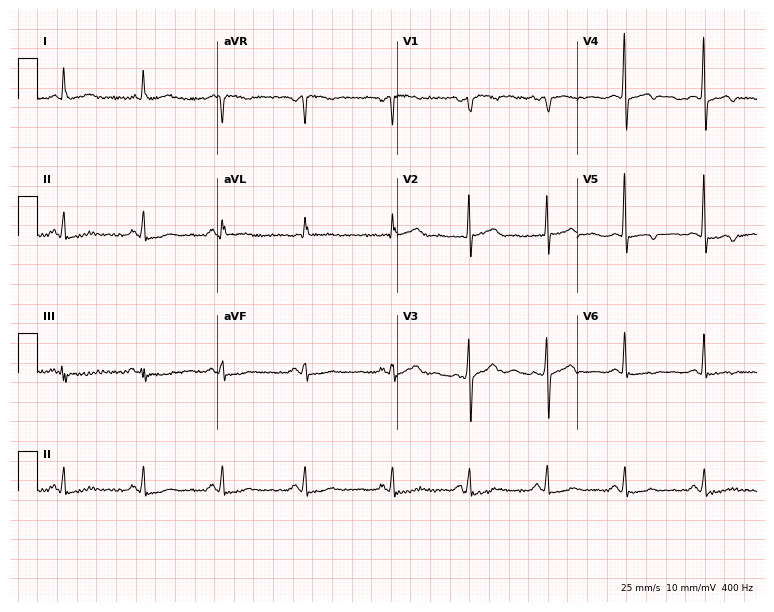
ECG — a 77-year-old woman. Screened for six findings — first-degree AV block, right bundle branch block (RBBB), left bundle branch block (LBBB), sinus bradycardia, atrial fibrillation (AF), sinus tachycardia — none is recorded.